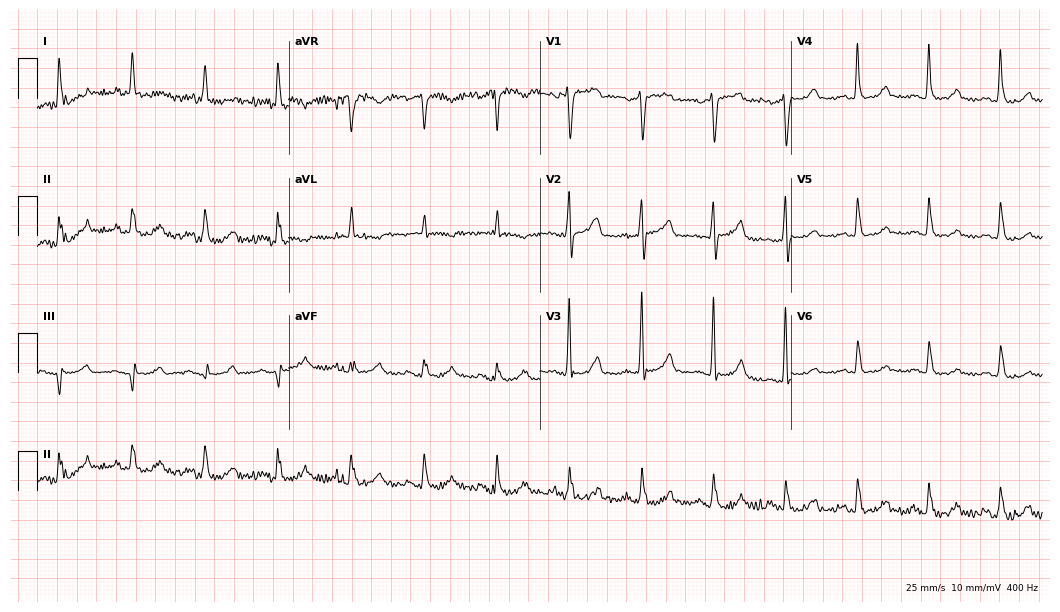
ECG — a 66-year-old woman. Screened for six findings — first-degree AV block, right bundle branch block (RBBB), left bundle branch block (LBBB), sinus bradycardia, atrial fibrillation (AF), sinus tachycardia — none is recorded. Other findings, if any, are not listed.